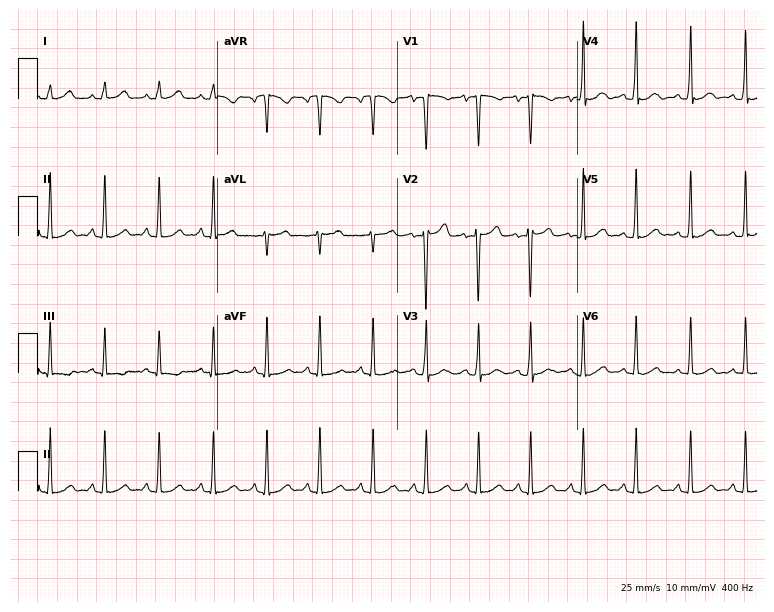
12-lead ECG from a female patient, 23 years old. No first-degree AV block, right bundle branch block, left bundle branch block, sinus bradycardia, atrial fibrillation or sinus tachycardia recorded for this tracing.